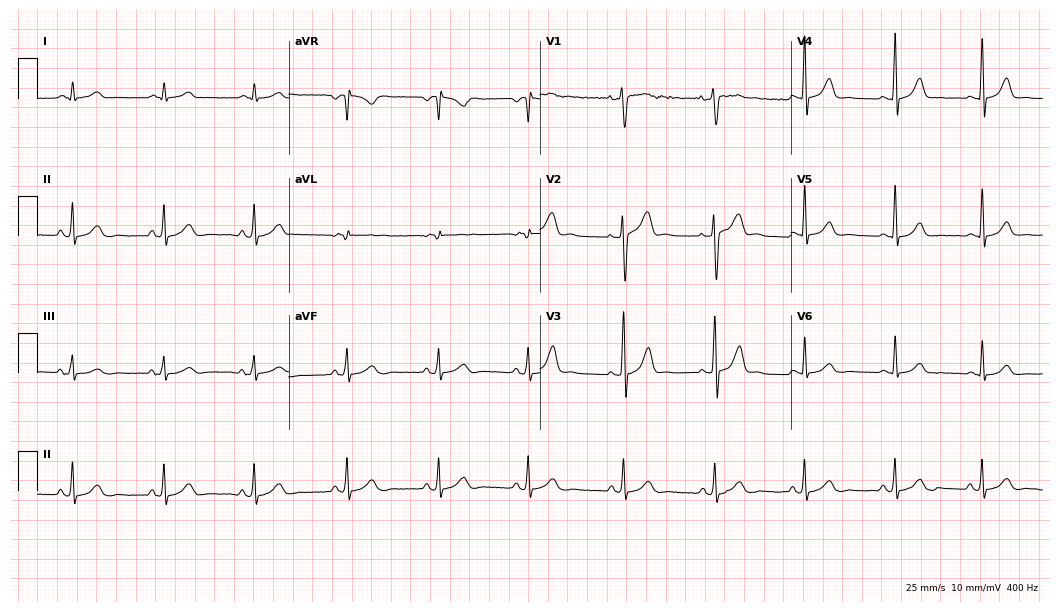
Standard 12-lead ECG recorded from a 34-year-old man. None of these six findings is recorded: first-degree AV block, right bundle branch block, left bundle branch block, sinus bradycardia, atrial fibrillation, sinus tachycardia. Other findings, if any, are not listed.